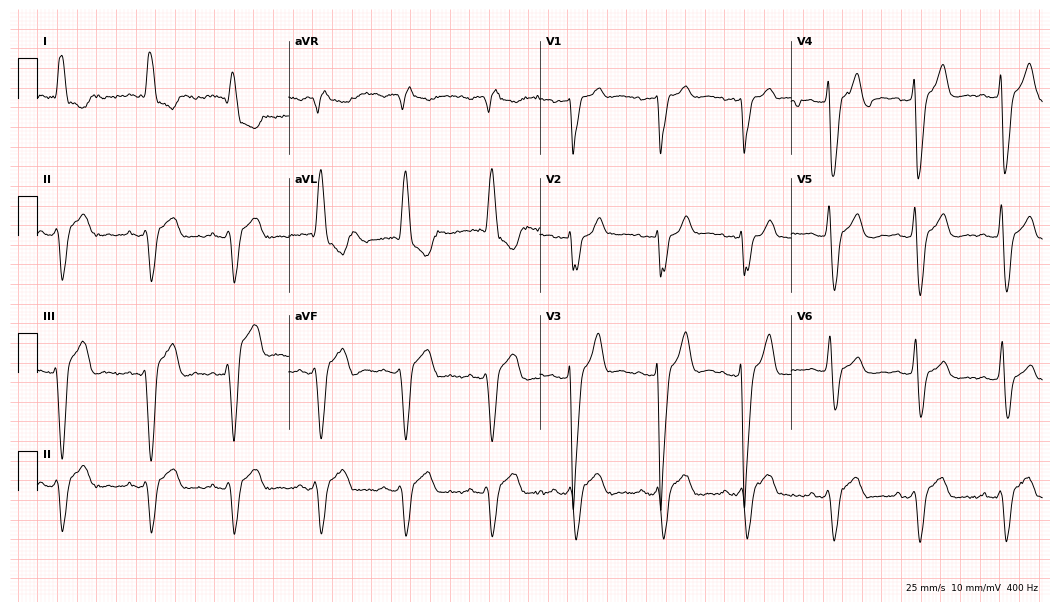
12-lead ECG from a male, 78 years old (10.2-second recording at 400 Hz). Shows left bundle branch block.